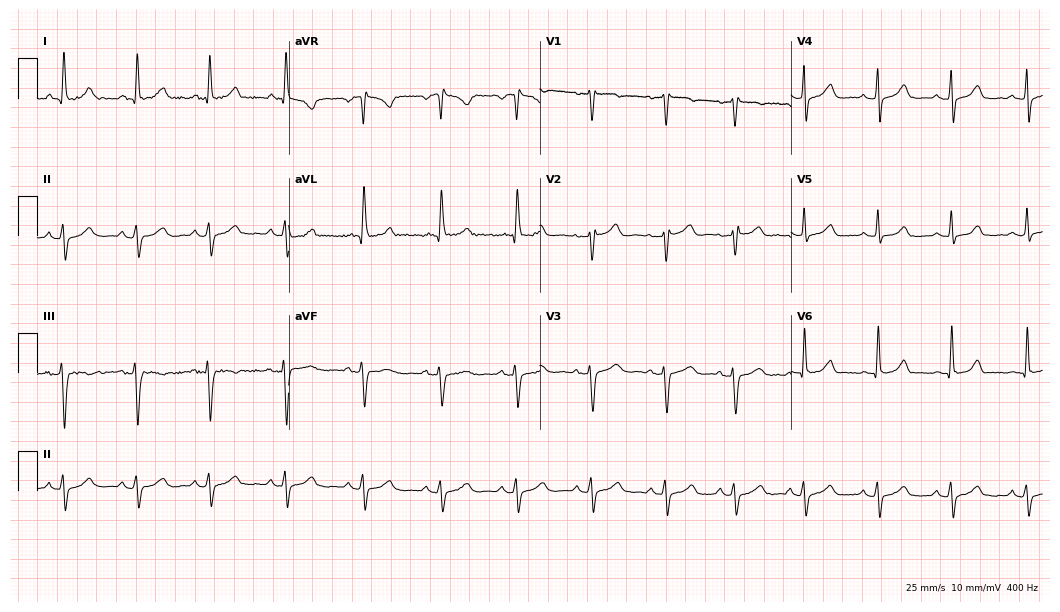
12-lead ECG from a female patient, 54 years old. Screened for six findings — first-degree AV block, right bundle branch block, left bundle branch block, sinus bradycardia, atrial fibrillation, sinus tachycardia — none is recorded.